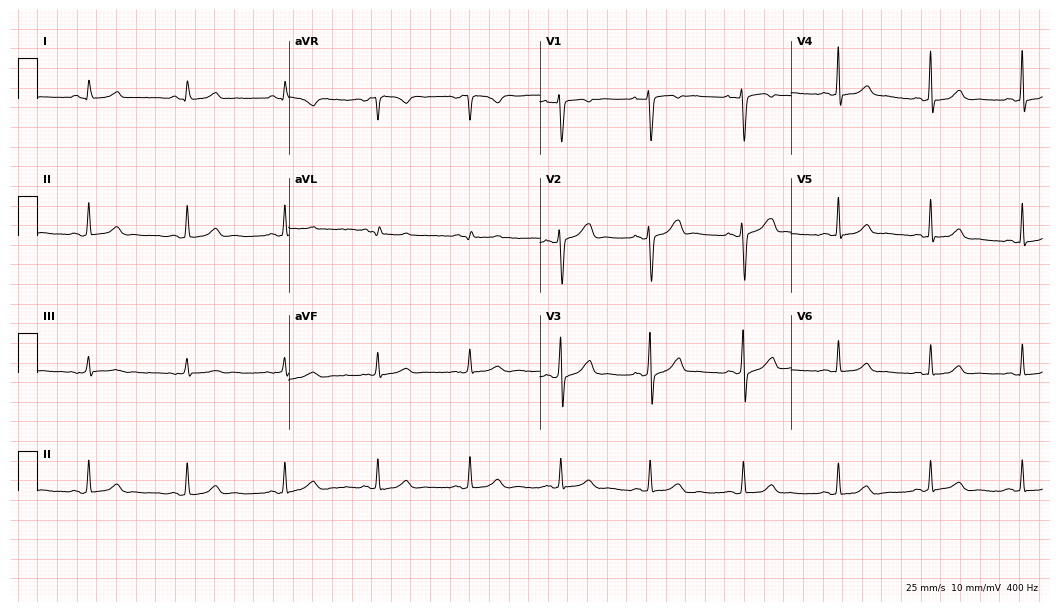
12-lead ECG from a 45-year-old female. Labelled as a normal ECG.